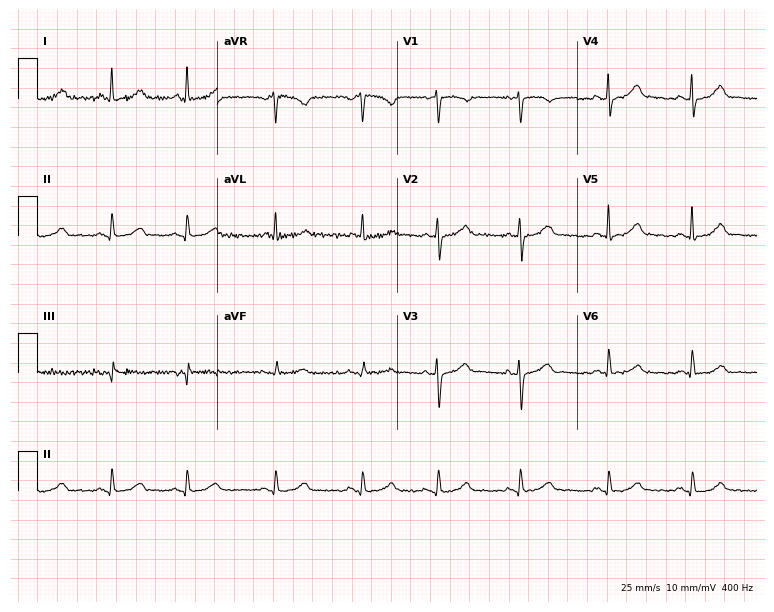
Electrocardiogram (7.3-second recording at 400 Hz), a 67-year-old female patient. Overall reading on record: normal ECG.